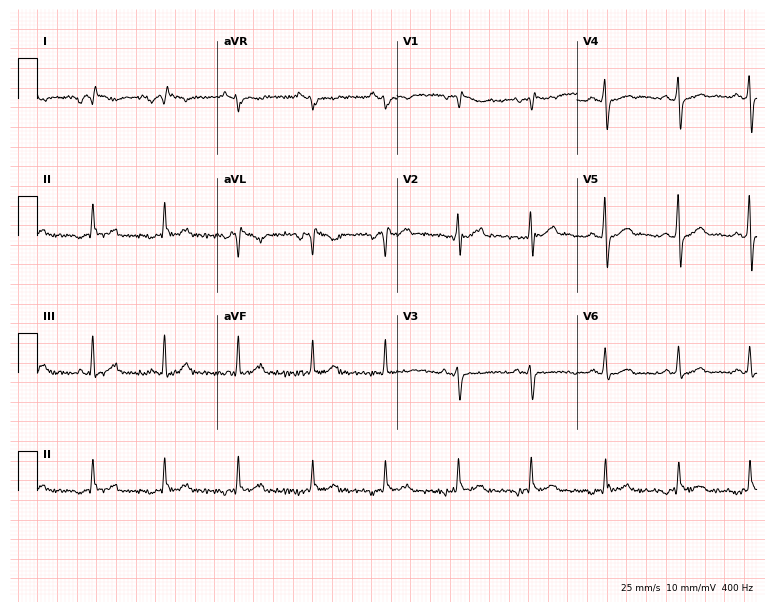
Resting 12-lead electrocardiogram. Patient: a 42-year-old male. None of these six findings is recorded: first-degree AV block, right bundle branch block (RBBB), left bundle branch block (LBBB), sinus bradycardia, atrial fibrillation (AF), sinus tachycardia. Findings outside these six are not listed.